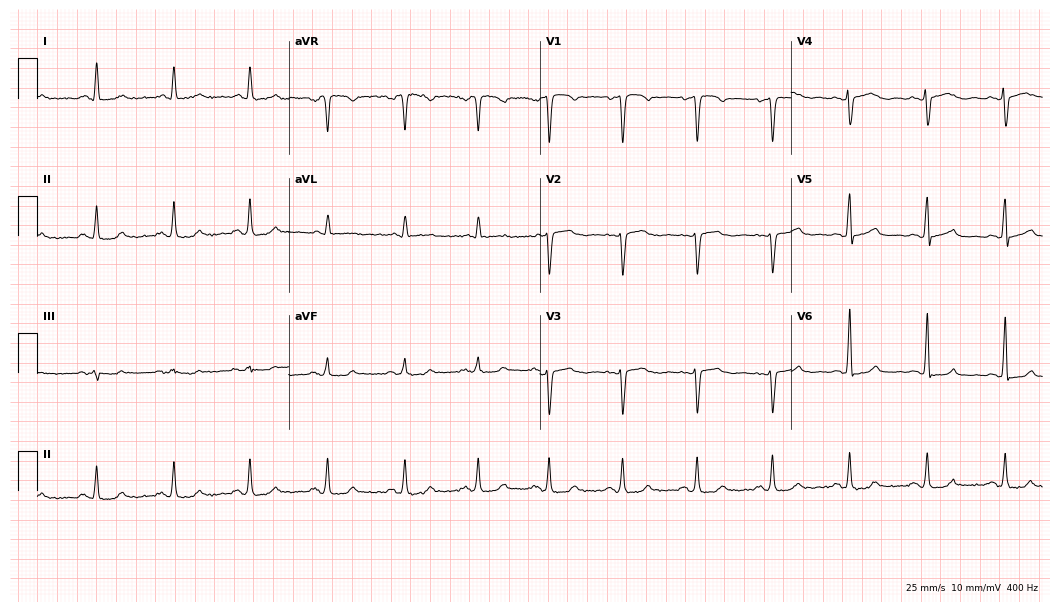
ECG — a 53-year-old woman. Screened for six findings — first-degree AV block, right bundle branch block (RBBB), left bundle branch block (LBBB), sinus bradycardia, atrial fibrillation (AF), sinus tachycardia — none is recorded.